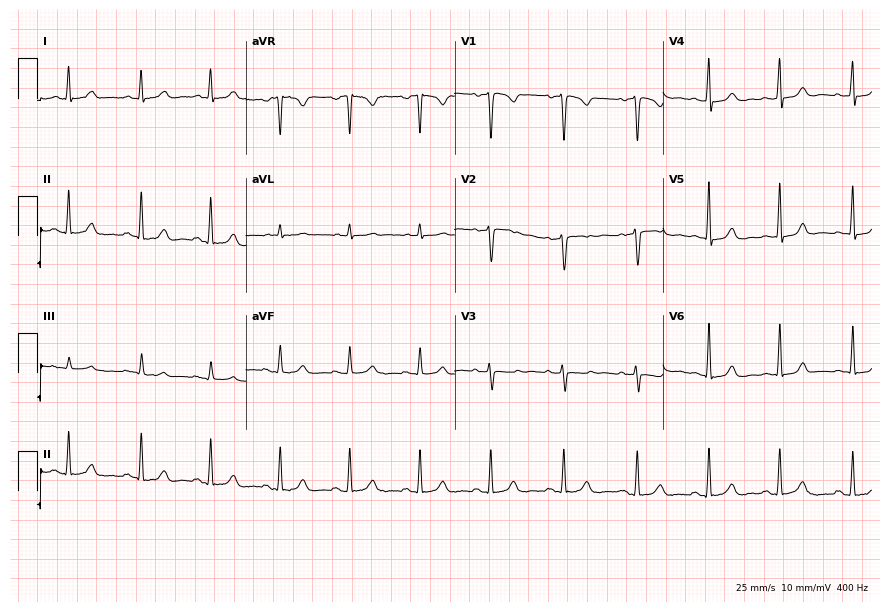
12-lead ECG from a woman, 38 years old. Labelled as a normal ECG.